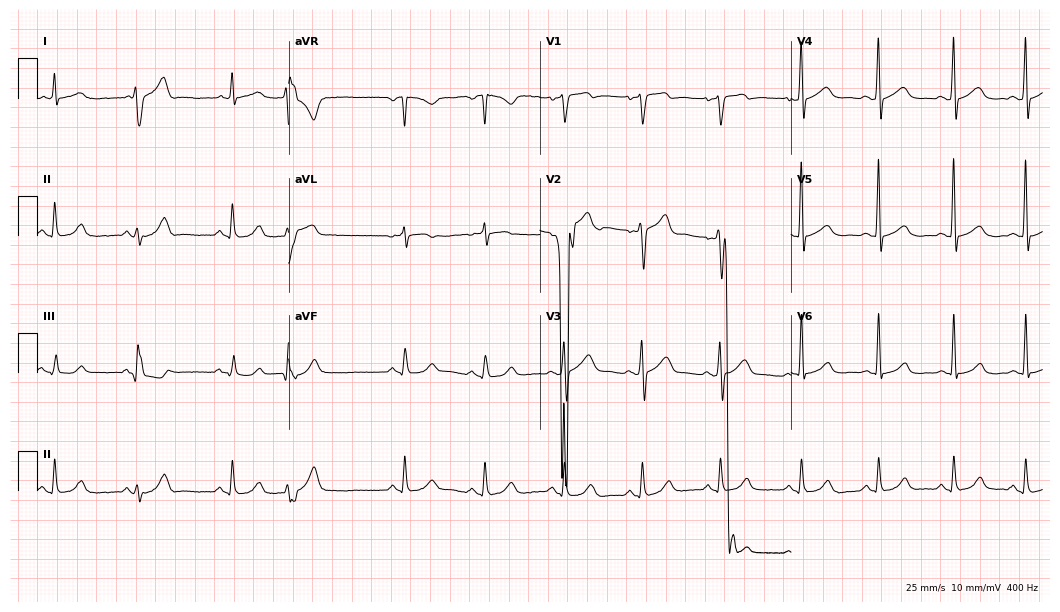
ECG (10.2-second recording at 400 Hz) — a 54-year-old man. Screened for six findings — first-degree AV block, right bundle branch block (RBBB), left bundle branch block (LBBB), sinus bradycardia, atrial fibrillation (AF), sinus tachycardia — none is recorded.